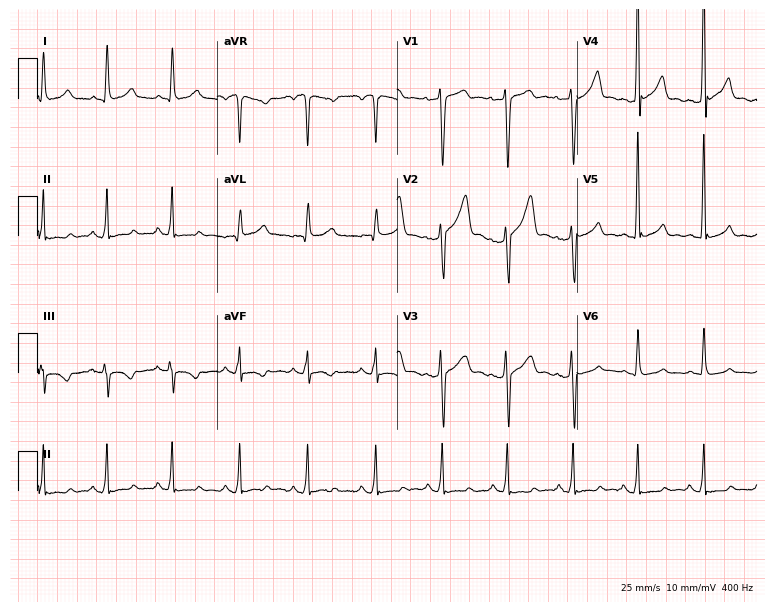
Electrocardiogram, a 47-year-old male patient. Of the six screened findings (first-degree AV block, right bundle branch block (RBBB), left bundle branch block (LBBB), sinus bradycardia, atrial fibrillation (AF), sinus tachycardia), none is recorded.